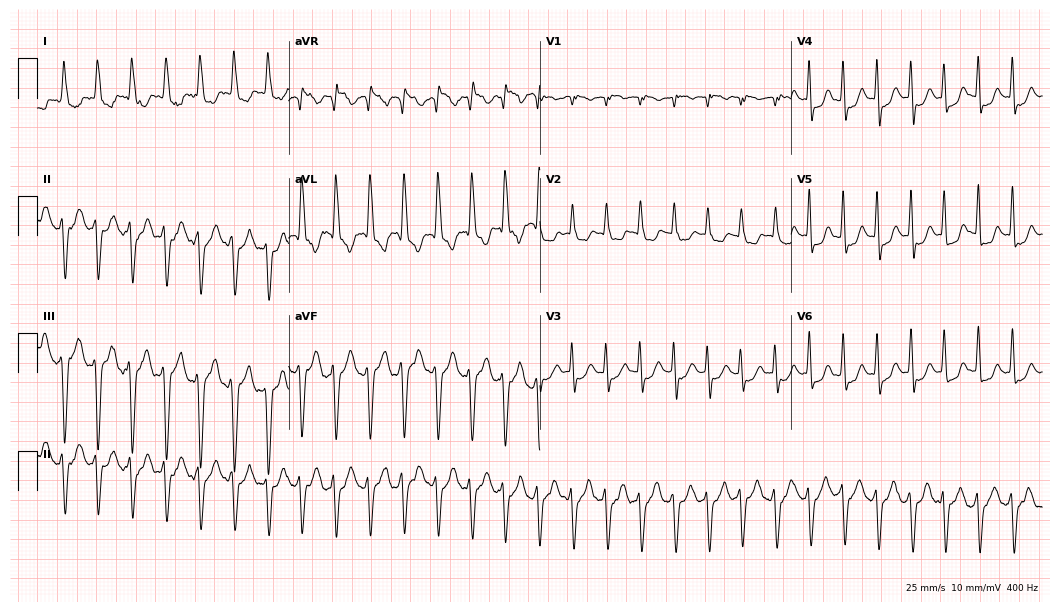
Resting 12-lead electrocardiogram (10.2-second recording at 400 Hz). Patient: a female, 82 years old. None of these six findings is recorded: first-degree AV block, right bundle branch block, left bundle branch block, sinus bradycardia, atrial fibrillation, sinus tachycardia. Other findings, if any, are not listed.